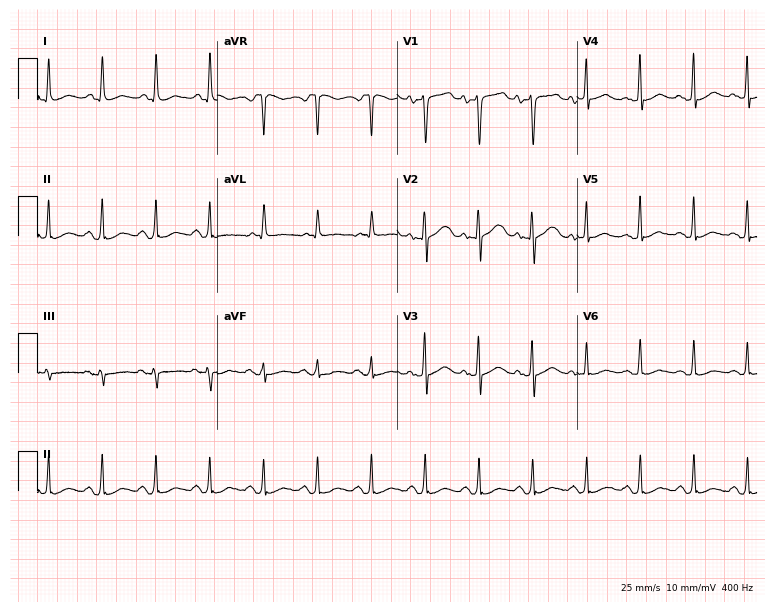
Electrocardiogram (7.3-second recording at 400 Hz), a male patient, 37 years old. Interpretation includes sinus tachycardia (a sinus rate of 100 beats per minute or more).